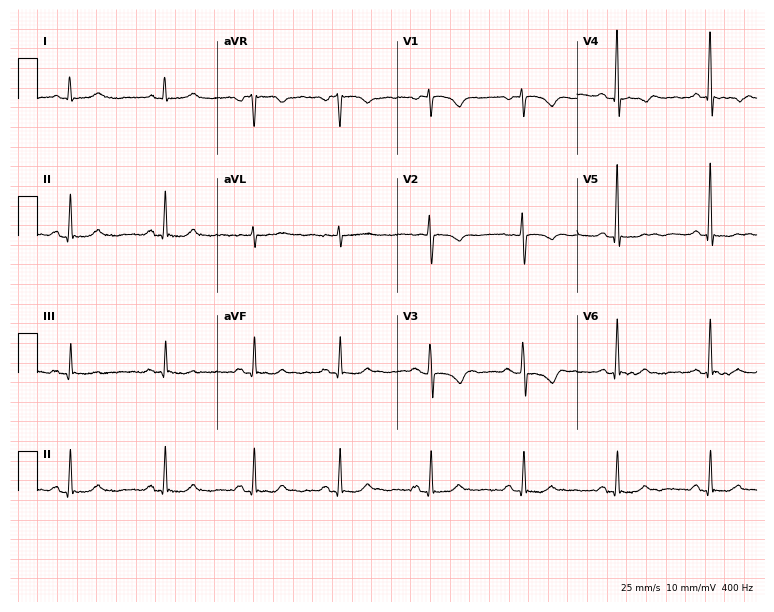
Electrocardiogram, a female, 58 years old. Of the six screened findings (first-degree AV block, right bundle branch block, left bundle branch block, sinus bradycardia, atrial fibrillation, sinus tachycardia), none is recorded.